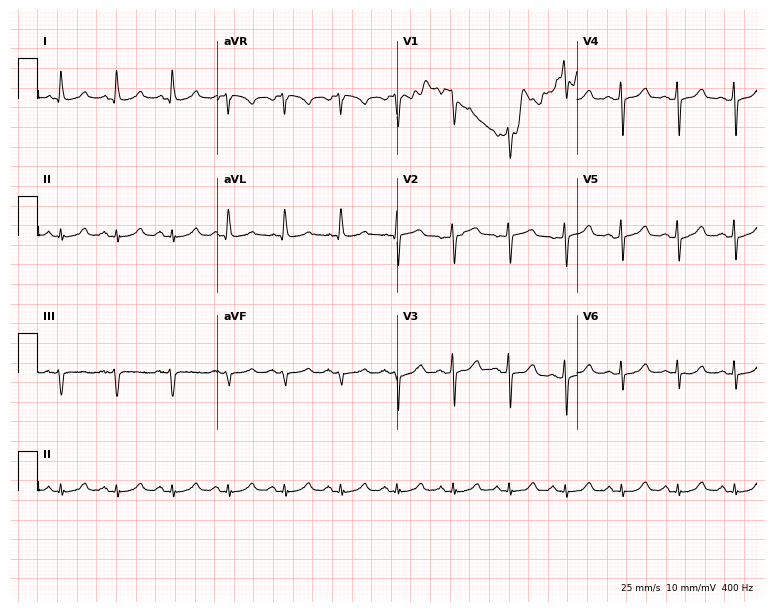
12-lead ECG from a woman, 53 years old (7.3-second recording at 400 Hz). No first-degree AV block, right bundle branch block, left bundle branch block, sinus bradycardia, atrial fibrillation or sinus tachycardia recorded for this tracing.